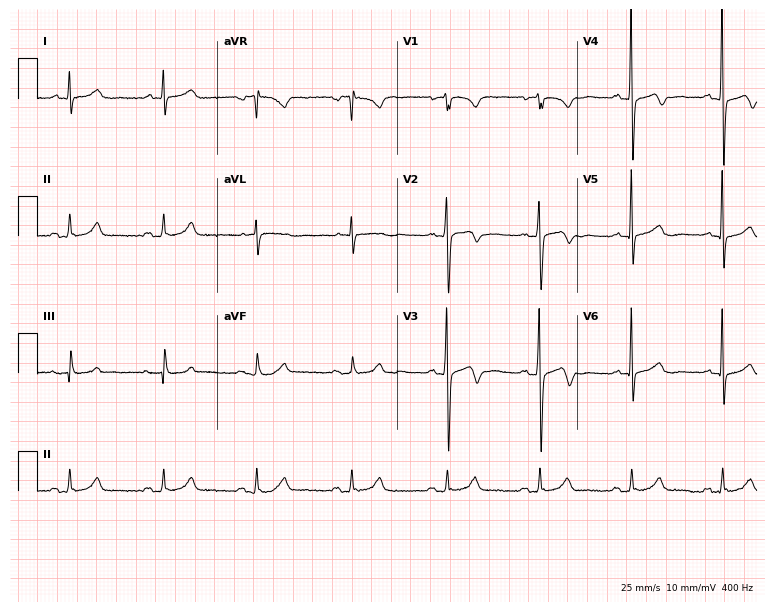
12-lead ECG from a 57-year-old man. Screened for six findings — first-degree AV block, right bundle branch block (RBBB), left bundle branch block (LBBB), sinus bradycardia, atrial fibrillation (AF), sinus tachycardia — none is recorded.